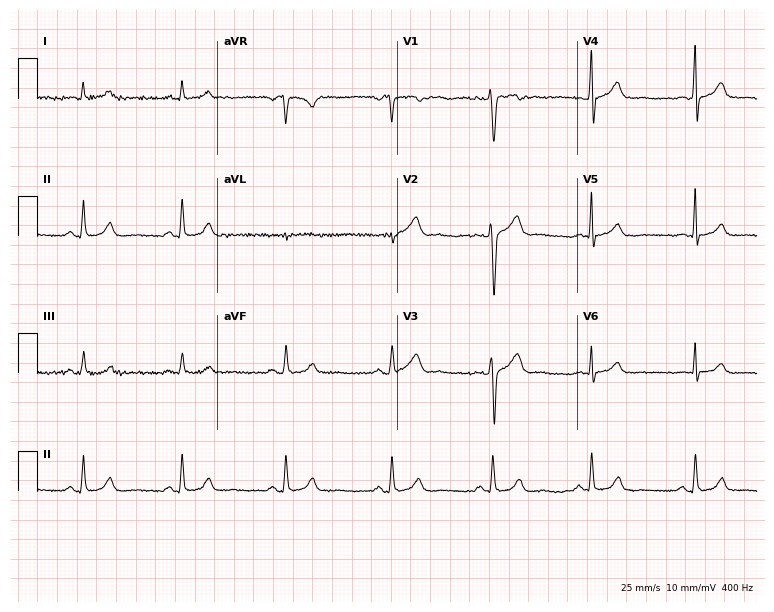
12-lead ECG from a 39-year-old male. Recorded interpretation: within normal limits.